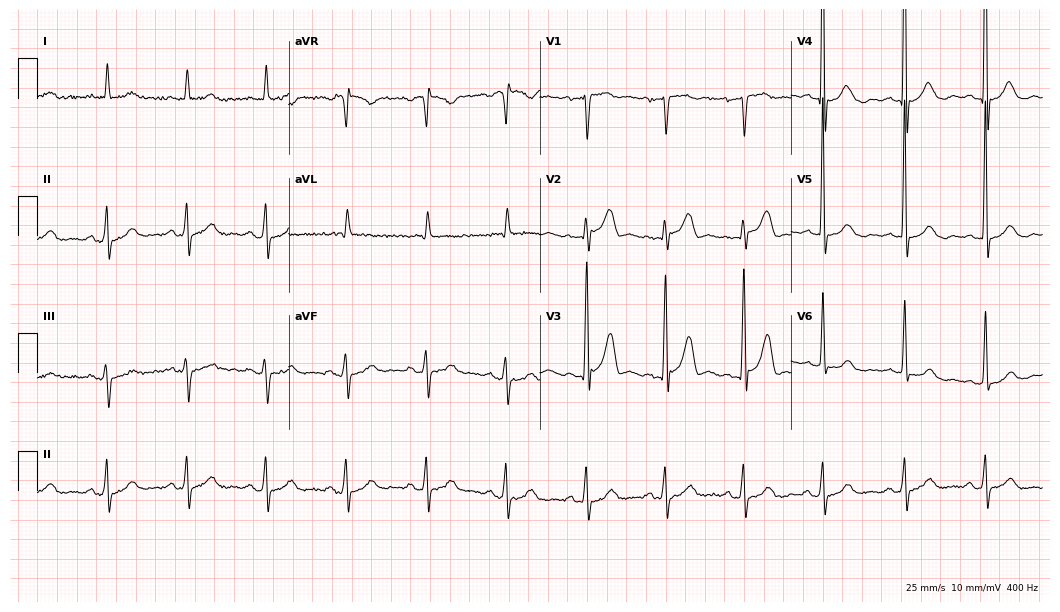
12-lead ECG (10.2-second recording at 400 Hz) from a 74-year-old man. Screened for six findings — first-degree AV block, right bundle branch block (RBBB), left bundle branch block (LBBB), sinus bradycardia, atrial fibrillation (AF), sinus tachycardia — none is recorded.